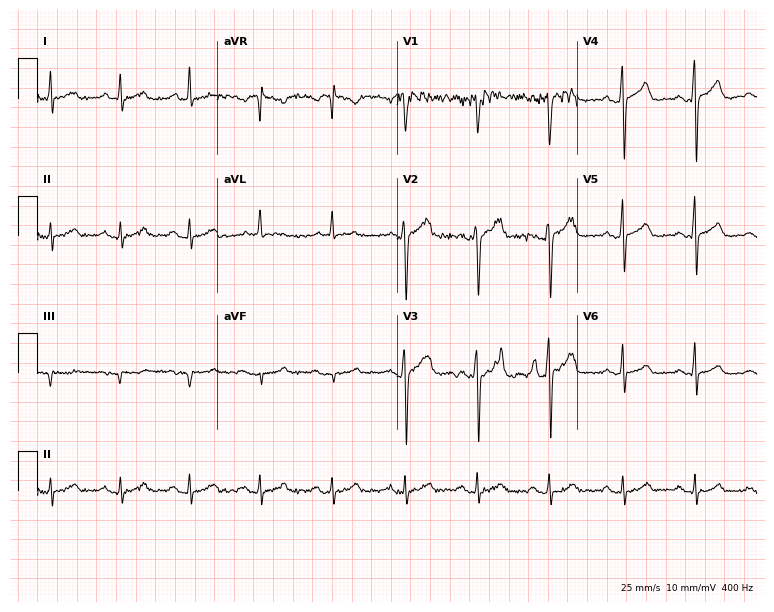
Resting 12-lead electrocardiogram. Patient: a man, 43 years old. Read as a normal ECG.